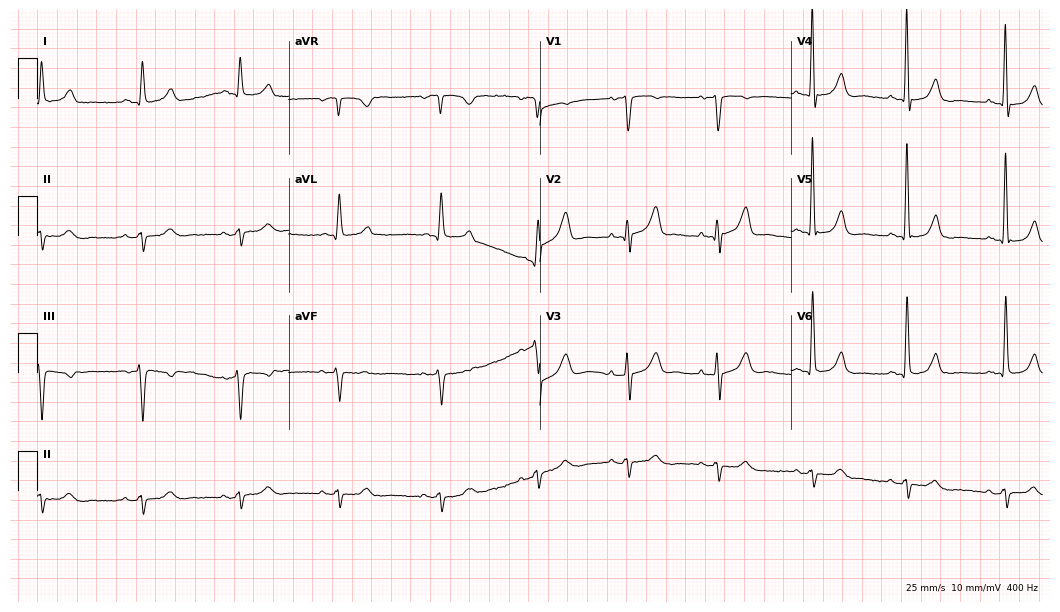
12-lead ECG from a man, 73 years old. No first-degree AV block, right bundle branch block (RBBB), left bundle branch block (LBBB), sinus bradycardia, atrial fibrillation (AF) or sinus tachycardia recorded for this tracing. Only these six findings were labelled.